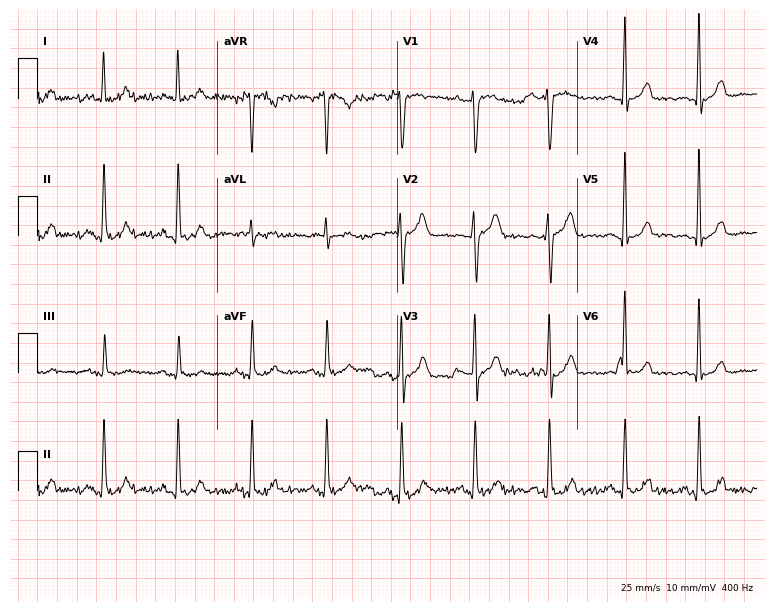
12-lead ECG (7.3-second recording at 400 Hz) from a 62-year-old man. Screened for six findings — first-degree AV block, right bundle branch block, left bundle branch block, sinus bradycardia, atrial fibrillation, sinus tachycardia — none is recorded.